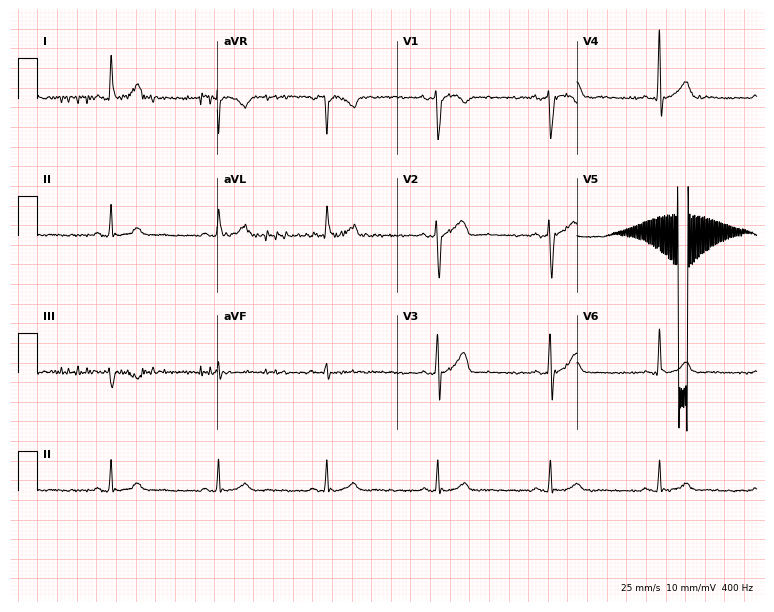
Resting 12-lead electrocardiogram. Patient: a woman, 57 years old. Read as a normal ECG.